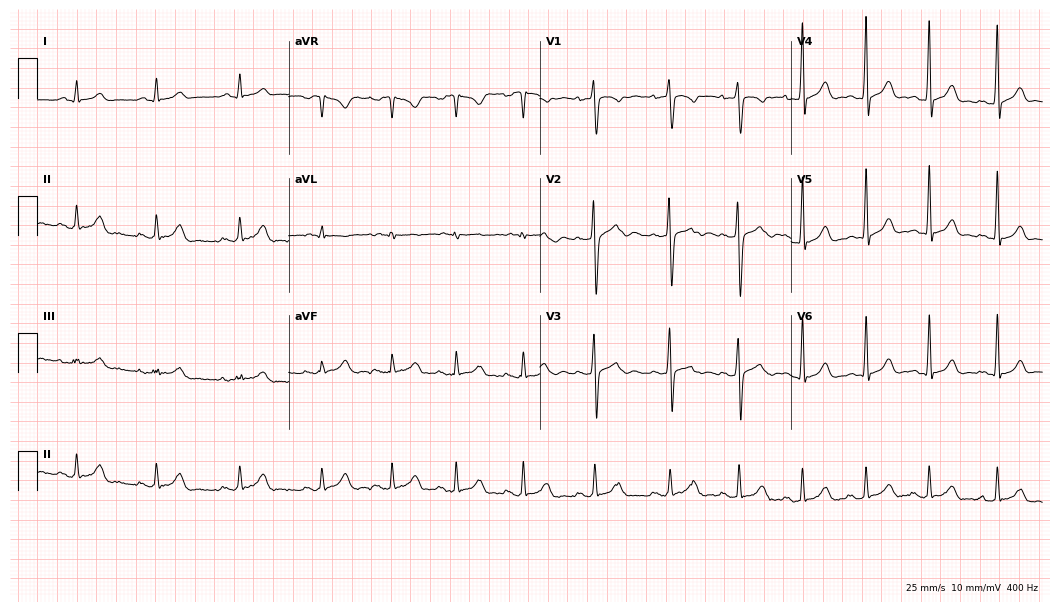
Resting 12-lead electrocardiogram. Patient: a 23-year-old man. Read as a normal ECG.